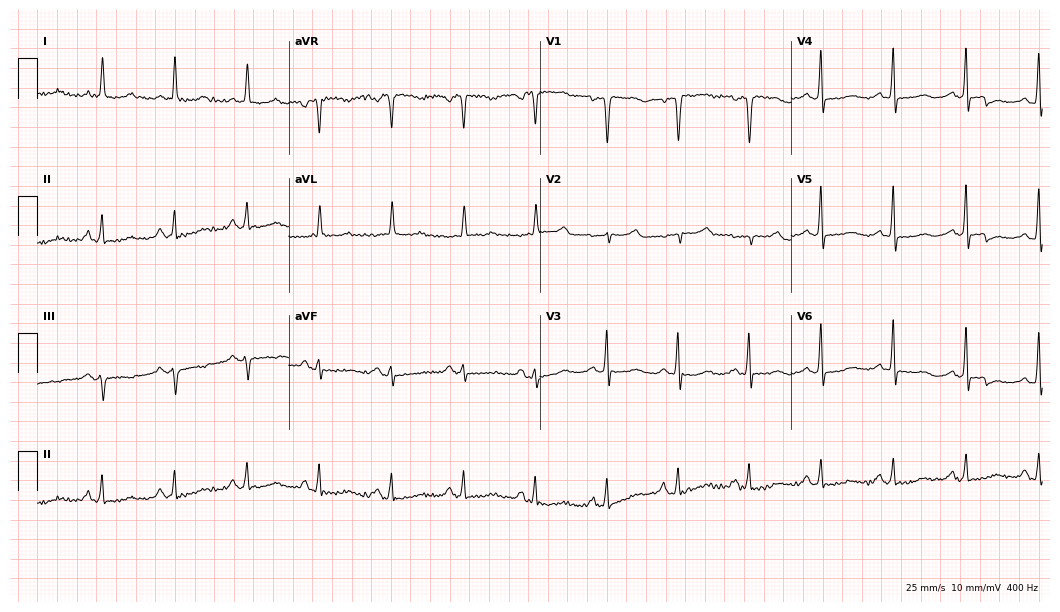
ECG (10.2-second recording at 400 Hz) — a 79-year-old female patient. Screened for six findings — first-degree AV block, right bundle branch block (RBBB), left bundle branch block (LBBB), sinus bradycardia, atrial fibrillation (AF), sinus tachycardia — none is recorded. Only these six findings were labelled.